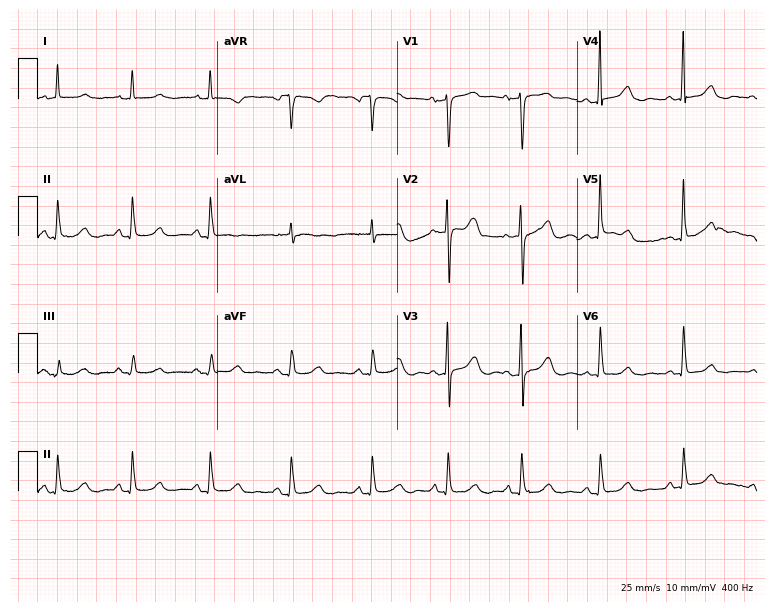
ECG (7.3-second recording at 400 Hz) — a 72-year-old female patient. Screened for six findings — first-degree AV block, right bundle branch block (RBBB), left bundle branch block (LBBB), sinus bradycardia, atrial fibrillation (AF), sinus tachycardia — none is recorded.